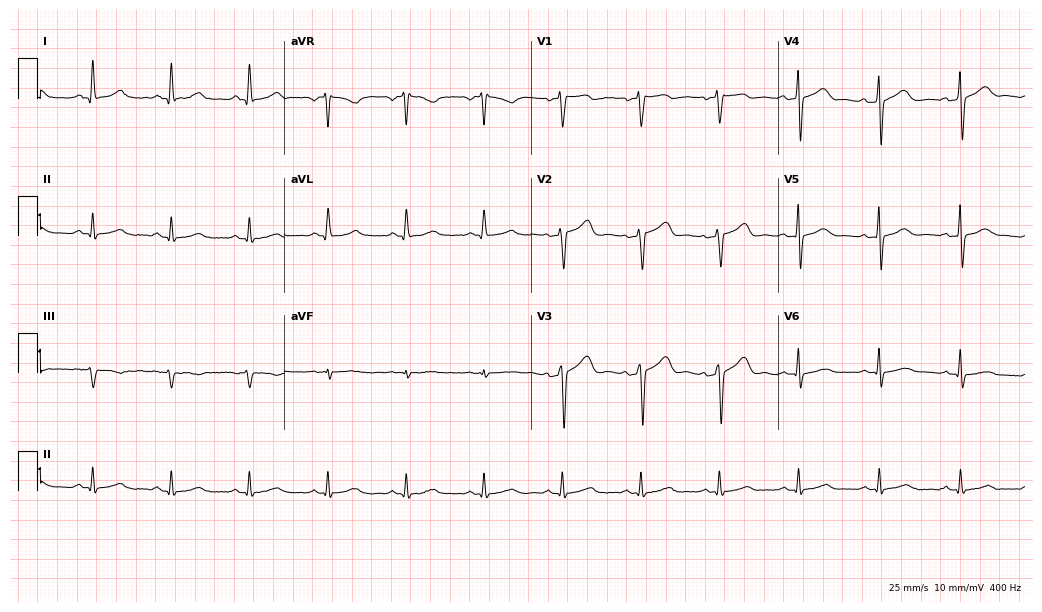
12-lead ECG from a 60-year-old male. Recorded interpretation: within normal limits.